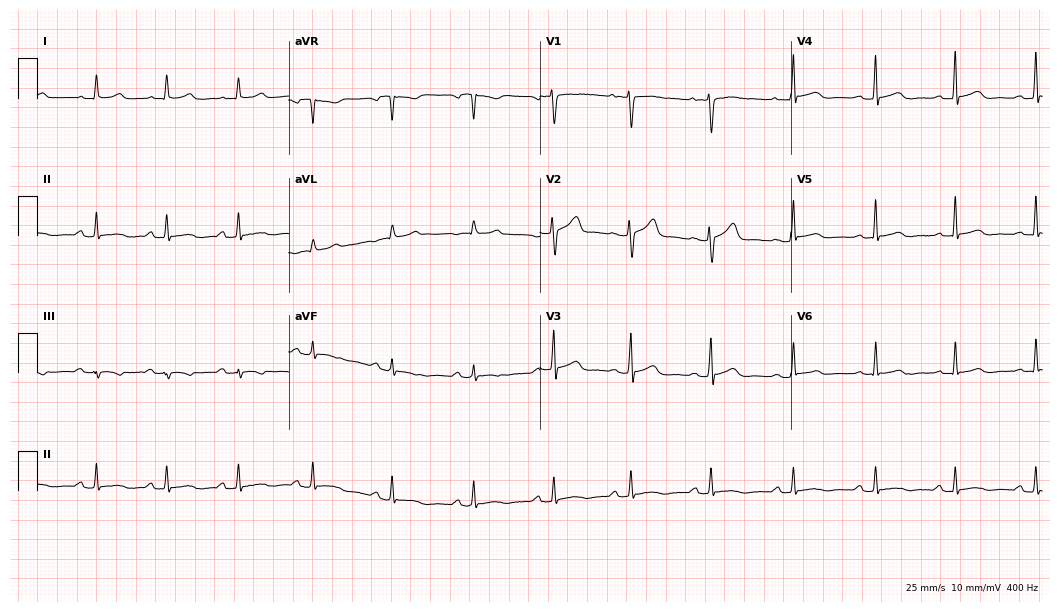
Standard 12-lead ECG recorded from a 33-year-old female (10.2-second recording at 400 Hz). Read as a normal ECG.